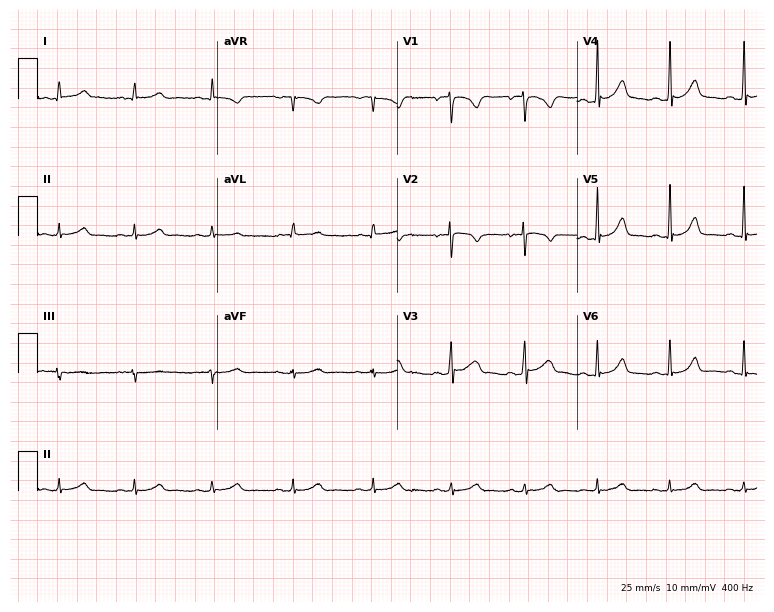
12-lead ECG from a 21-year-old man. No first-degree AV block, right bundle branch block, left bundle branch block, sinus bradycardia, atrial fibrillation or sinus tachycardia recorded for this tracing. Other findings, if any, are not listed.